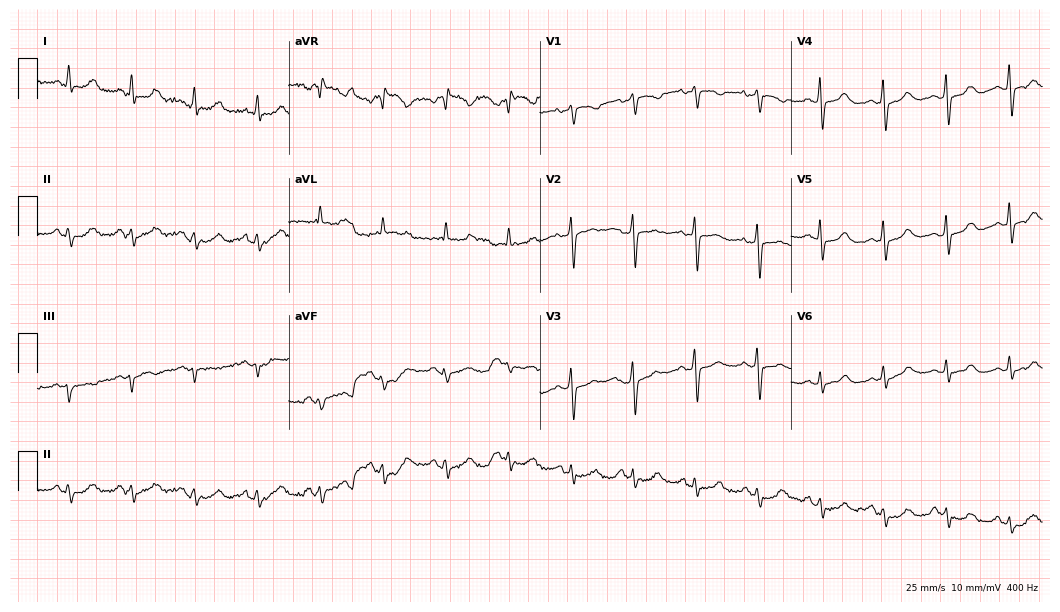
Electrocardiogram (10.2-second recording at 400 Hz), a 77-year-old woman. Overall reading on record: normal ECG.